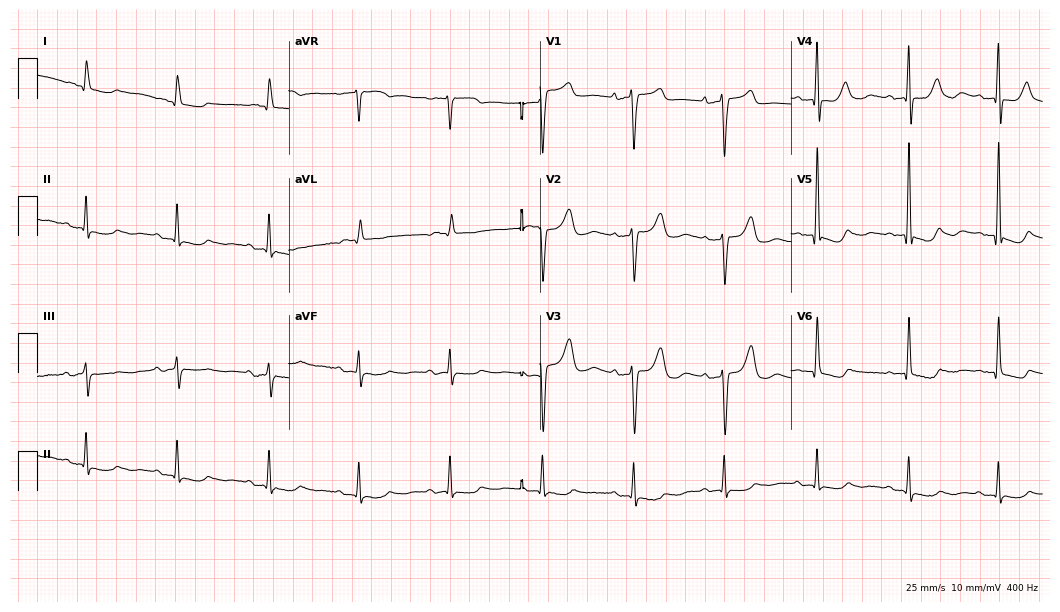
Electrocardiogram (10.2-second recording at 400 Hz), a 78-year-old female patient. Of the six screened findings (first-degree AV block, right bundle branch block, left bundle branch block, sinus bradycardia, atrial fibrillation, sinus tachycardia), none is recorded.